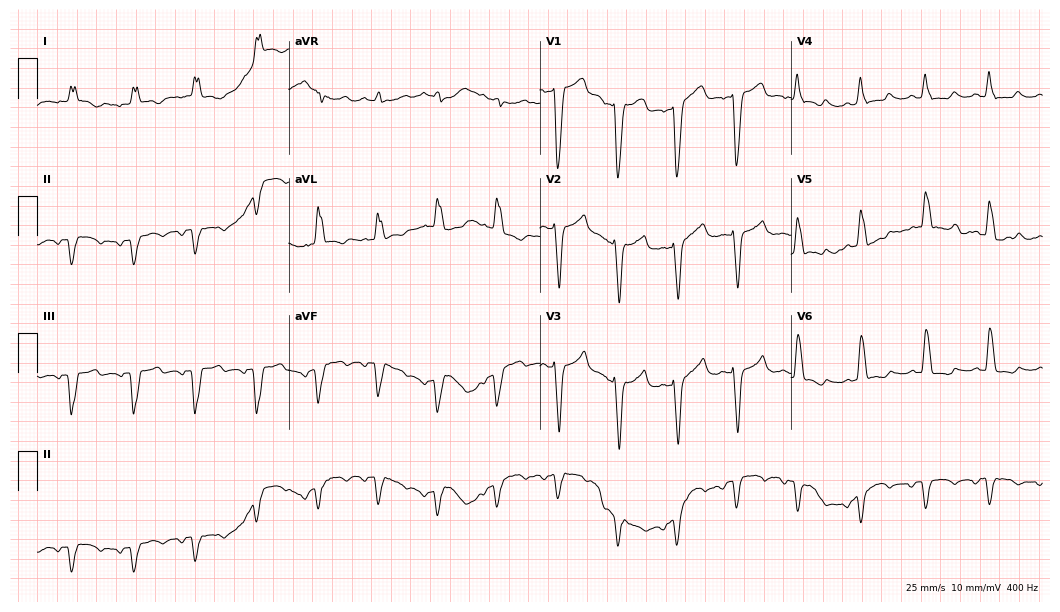
Electrocardiogram, a female, 53 years old. Of the six screened findings (first-degree AV block, right bundle branch block, left bundle branch block, sinus bradycardia, atrial fibrillation, sinus tachycardia), none is recorded.